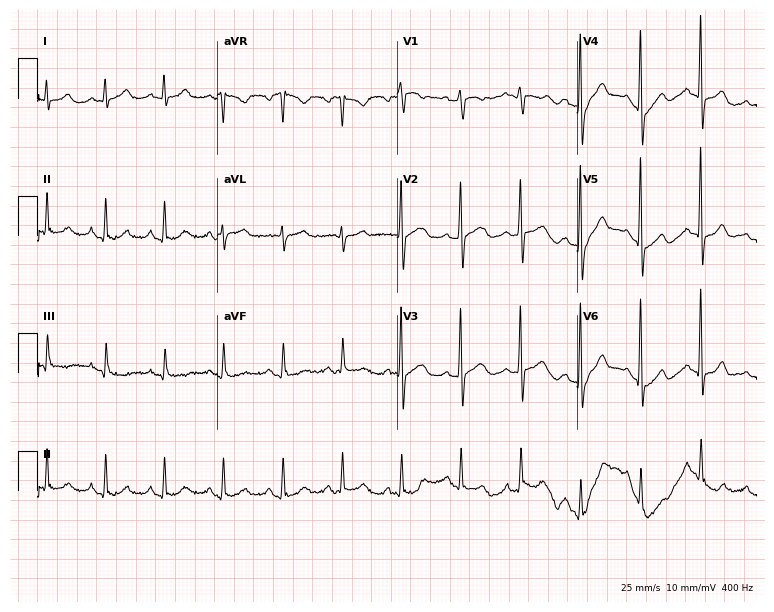
12-lead ECG (7.3-second recording at 400 Hz) from a man, 55 years old. Labelled as a normal ECG.